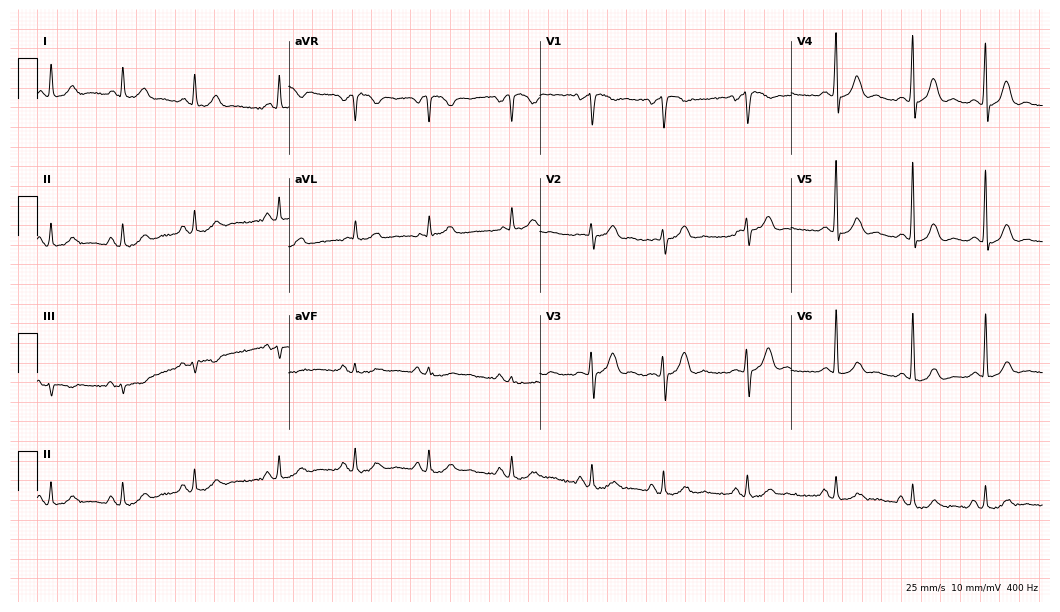
Resting 12-lead electrocardiogram. Patient: a 51-year-old female. Read as a normal ECG.